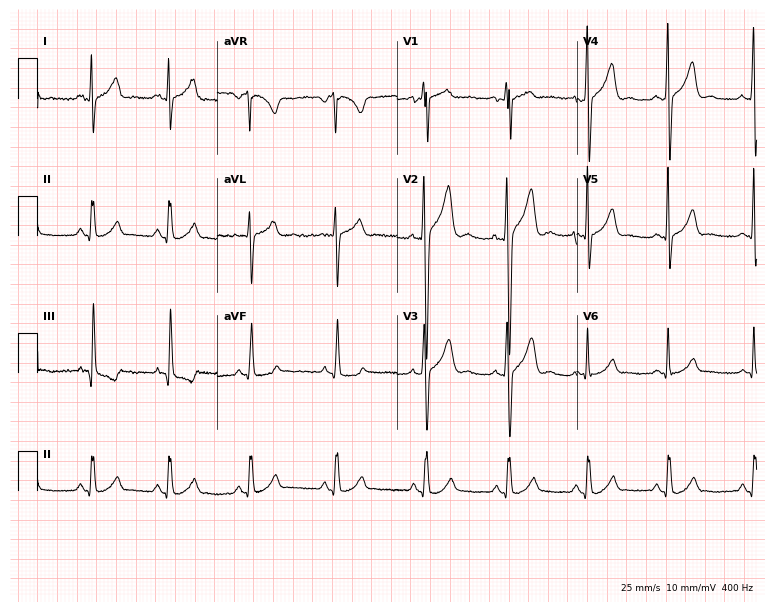
ECG (7.3-second recording at 400 Hz) — a 20-year-old man. Labelled as a normal ECG.